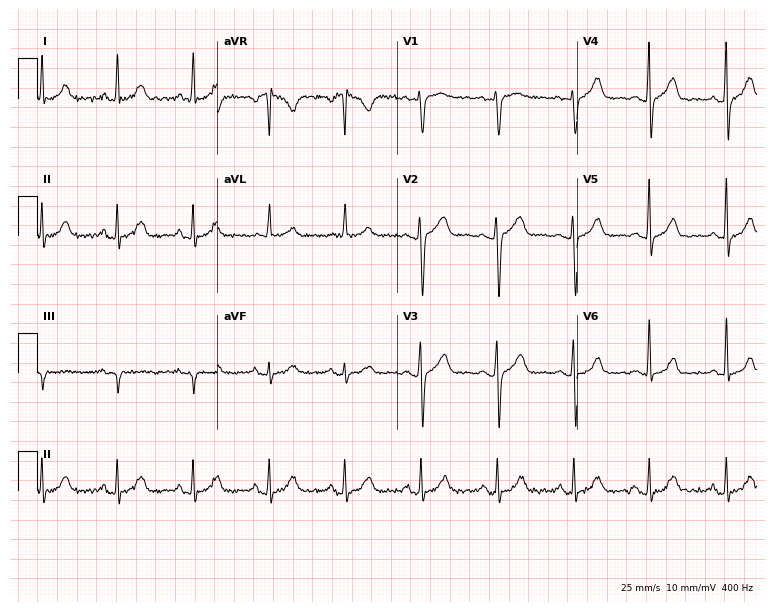
Electrocardiogram, a 68-year-old female. Of the six screened findings (first-degree AV block, right bundle branch block, left bundle branch block, sinus bradycardia, atrial fibrillation, sinus tachycardia), none is recorded.